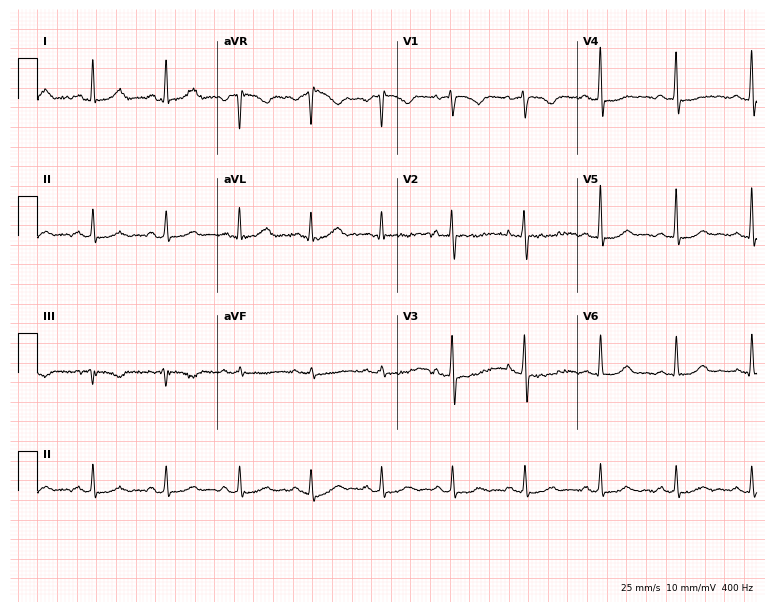
Standard 12-lead ECG recorded from a female patient, 34 years old. Read as a normal ECG.